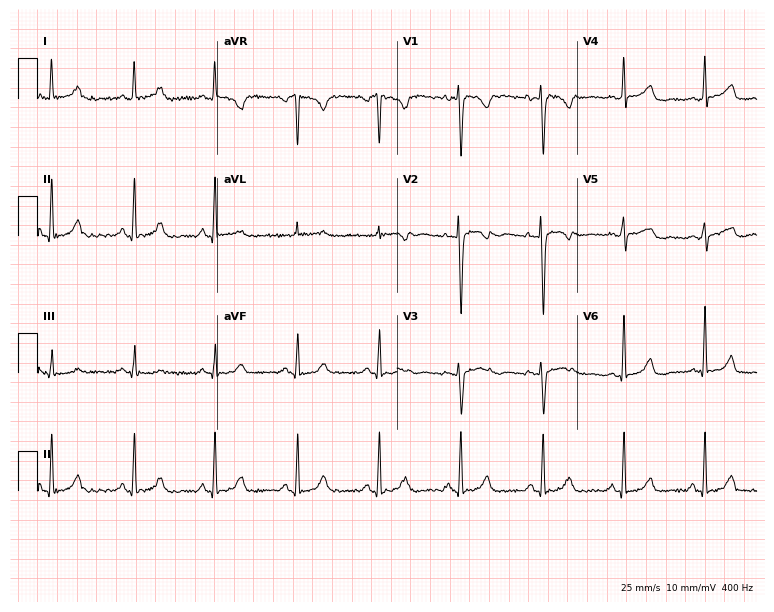
12-lead ECG from a female, 29 years old (7.3-second recording at 400 Hz). Recorded interpretation: within normal limits.